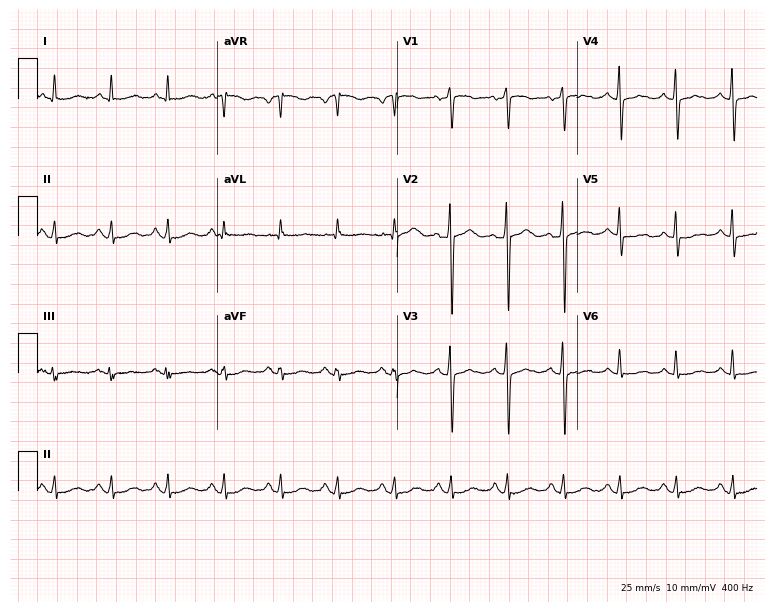
Electrocardiogram (7.3-second recording at 400 Hz), a 66-year-old female patient. Interpretation includes sinus tachycardia (a sinus rate of 100 beats per minute or more).